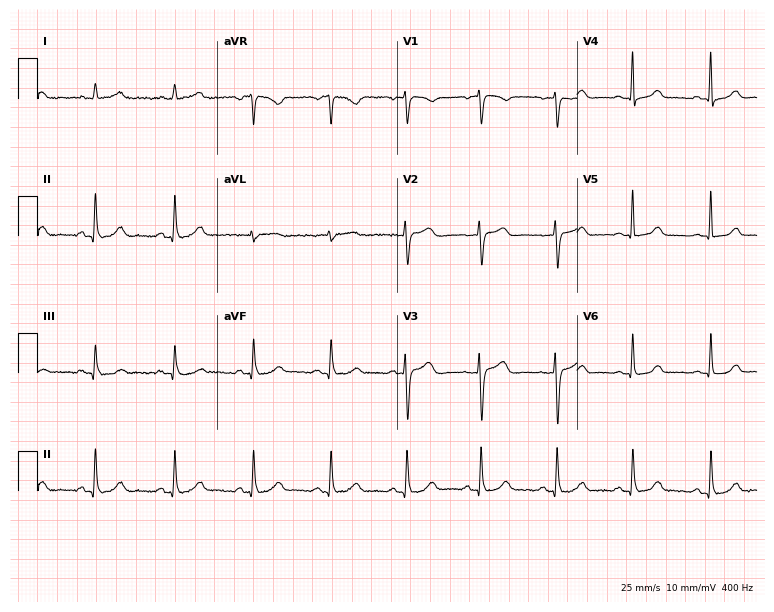
Resting 12-lead electrocardiogram. Patient: a female, 66 years old. Read as a normal ECG.